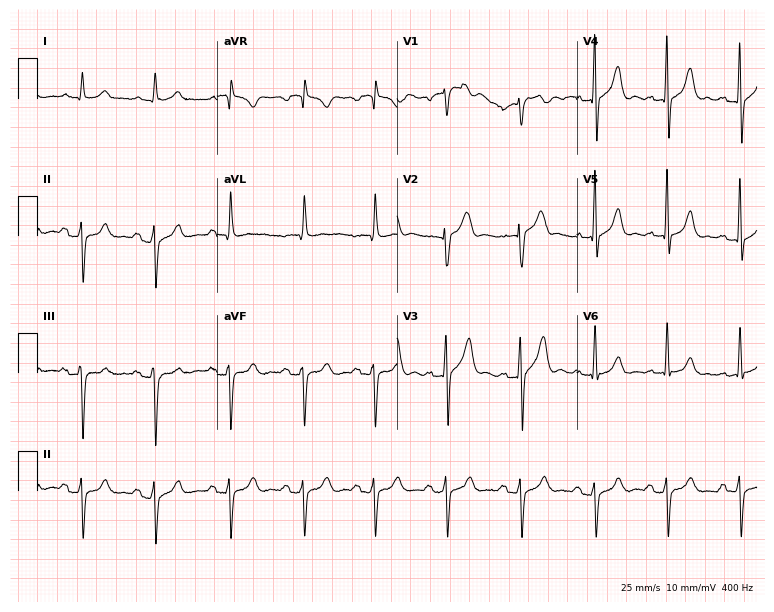
12-lead ECG from a 64-year-old man (7.3-second recording at 400 Hz). No first-degree AV block, right bundle branch block, left bundle branch block, sinus bradycardia, atrial fibrillation or sinus tachycardia recorded for this tracing.